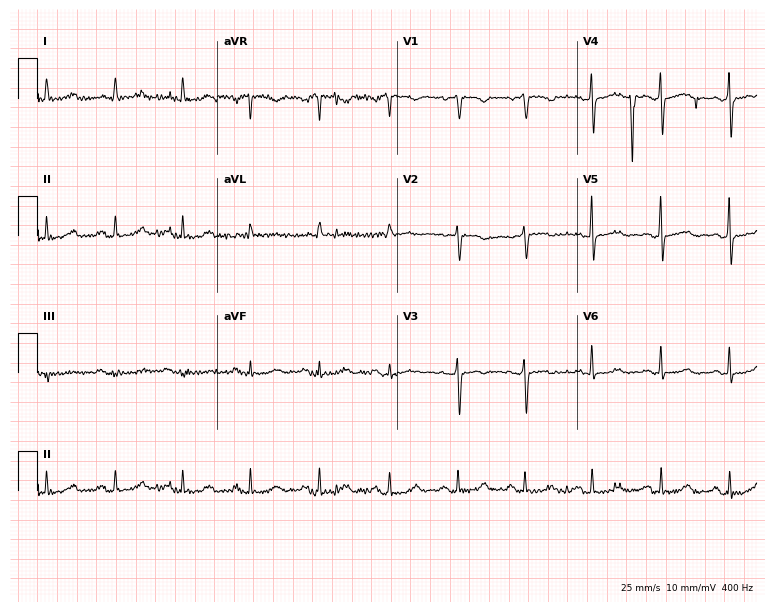
Standard 12-lead ECG recorded from a 76-year-old female (7.3-second recording at 400 Hz). None of these six findings is recorded: first-degree AV block, right bundle branch block, left bundle branch block, sinus bradycardia, atrial fibrillation, sinus tachycardia.